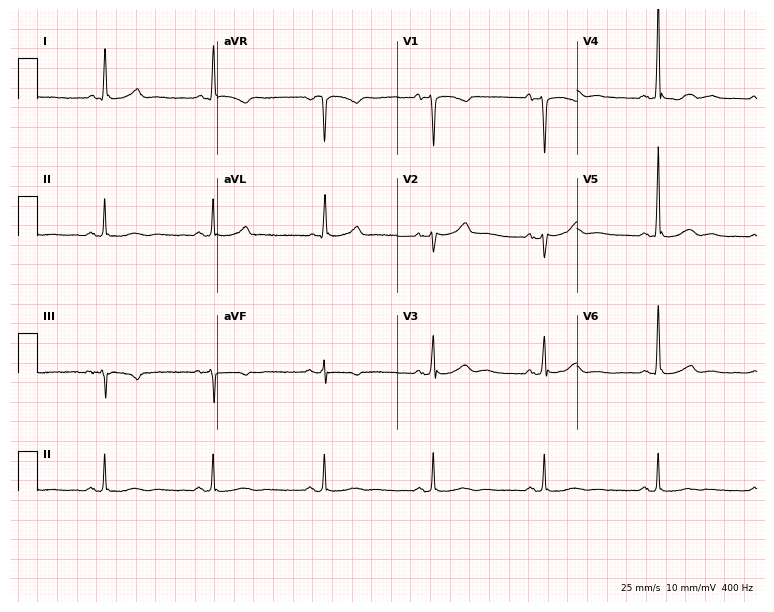
ECG — a female, 73 years old. Labelled as a normal ECG.